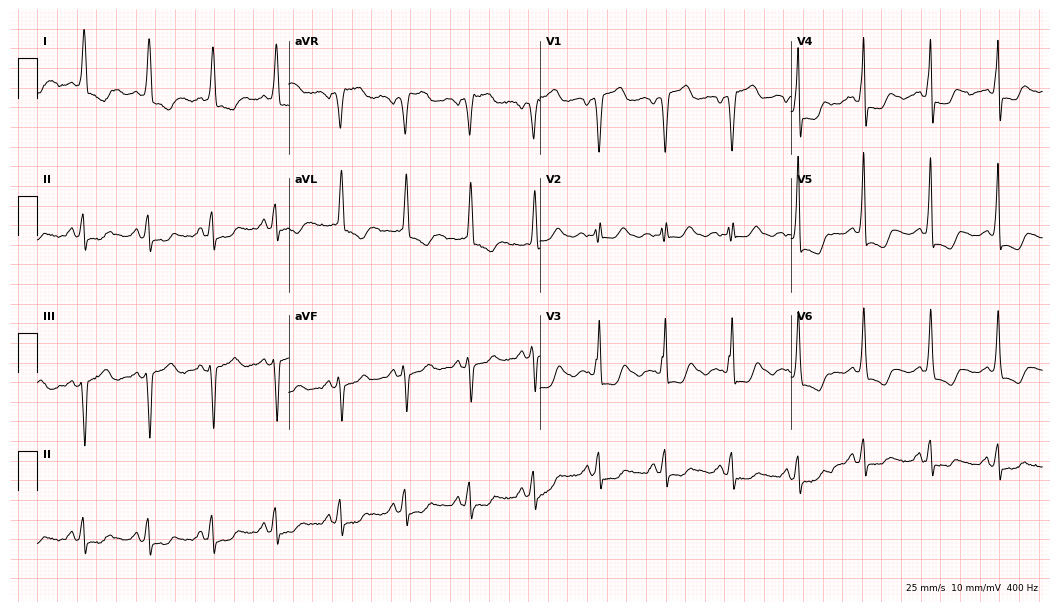
12-lead ECG (10.2-second recording at 400 Hz) from a 66-year-old female. Labelled as a normal ECG.